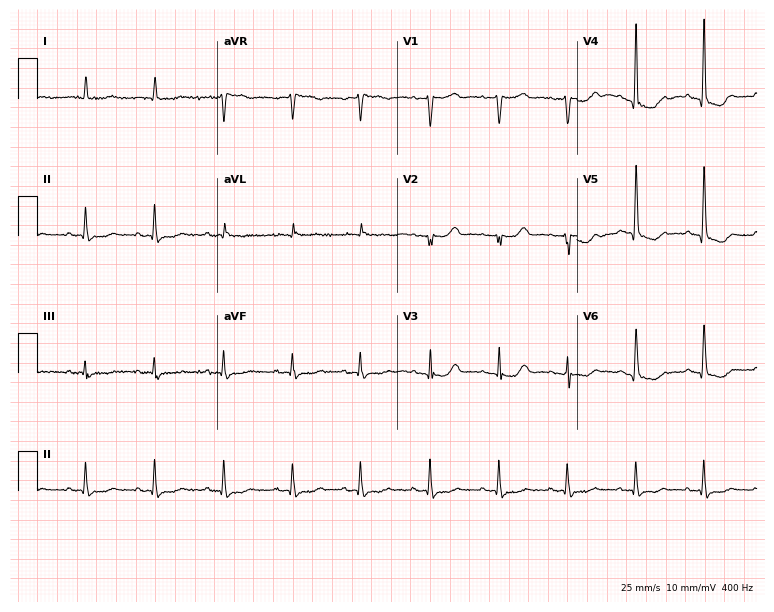
12-lead ECG from a 76-year-old woman. Screened for six findings — first-degree AV block, right bundle branch block, left bundle branch block, sinus bradycardia, atrial fibrillation, sinus tachycardia — none is recorded. Only these six findings were labelled.